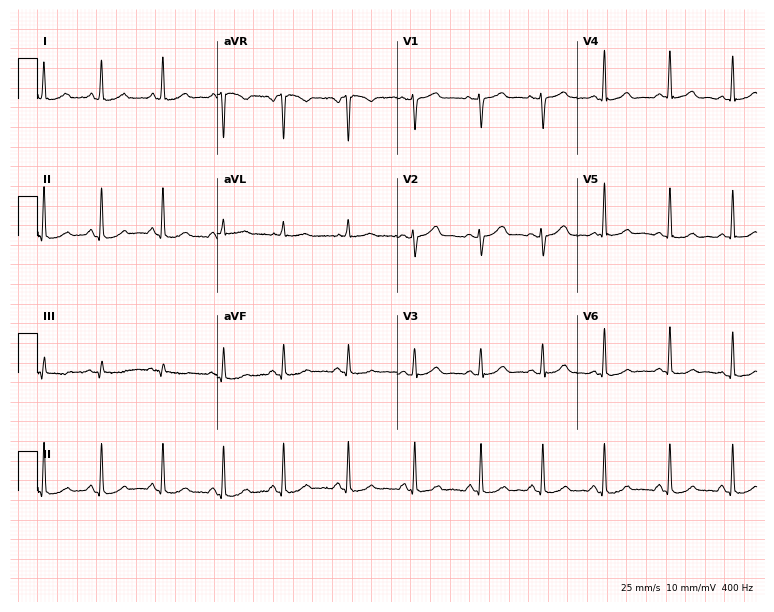
ECG (7.3-second recording at 400 Hz) — a 38-year-old female. Labelled as a normal ECG.